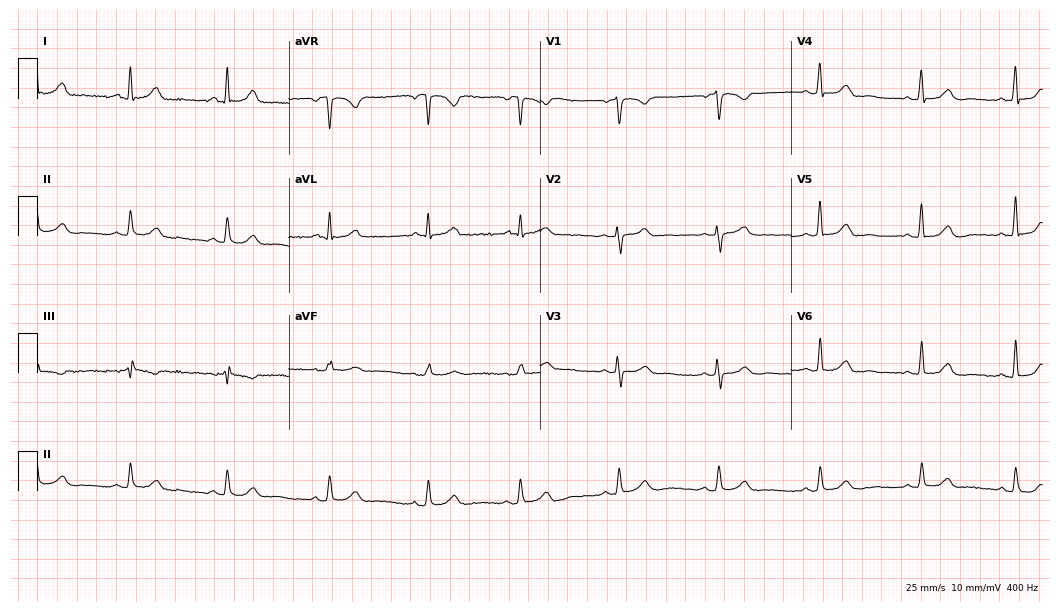
Standard 12-lead ECG recorded from a female, 55 years old. Read as a normal ECG.